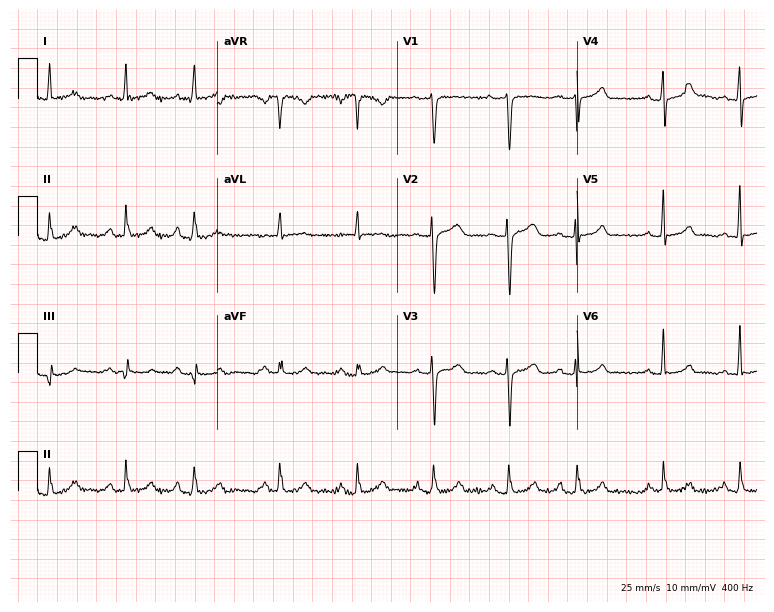
12-lead ECG from a 68-year-old male. Labelled as a normal ECG.